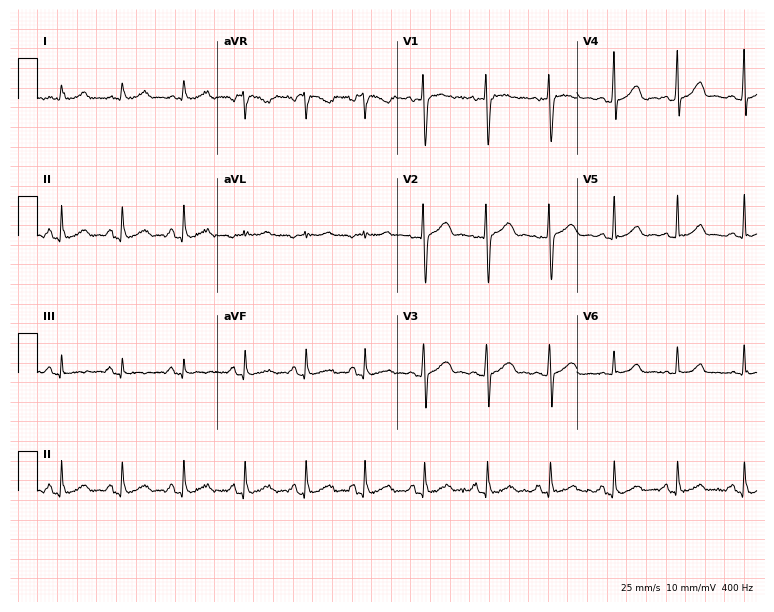
Resting 12-lead electrocardiogram (7.3-second recording at 400 Hz). Patient: a 38-year-old female. Read as a normal ECG.